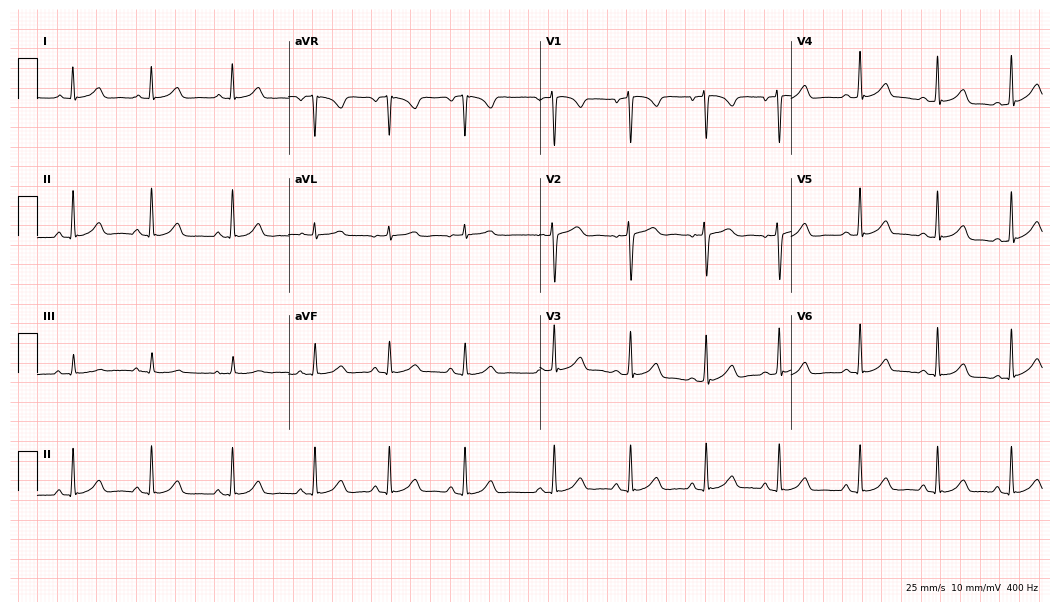
Standard 12-lead ECG recorded from a 30-year-old woman. Read as a normal ECG.